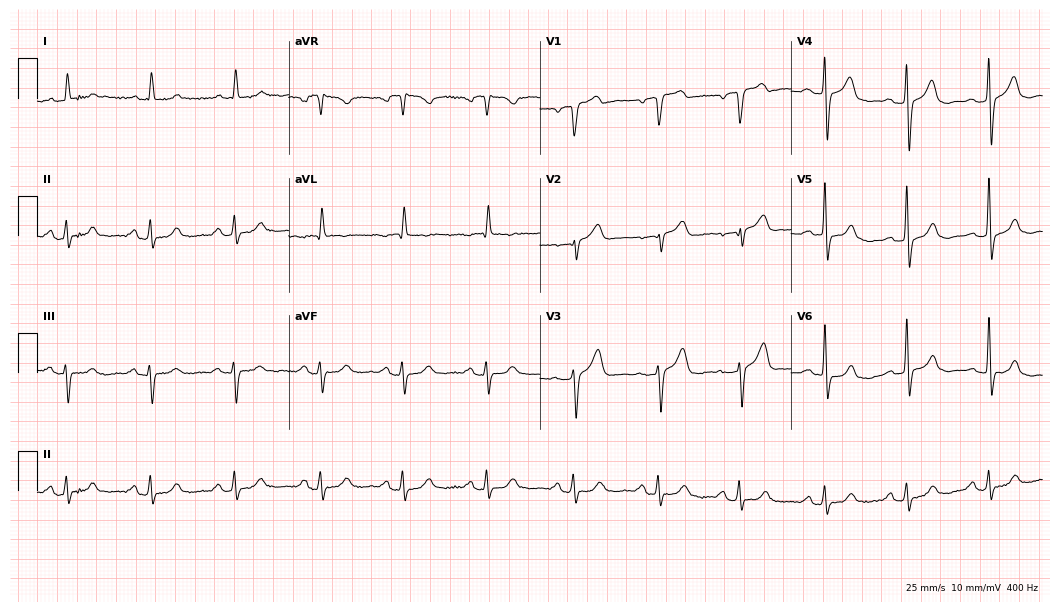
Resting 12-lead electrocardiogram (10.2-second recording at 400 Hz). Patient: an 82-year-old man. Read as a normal ECG.